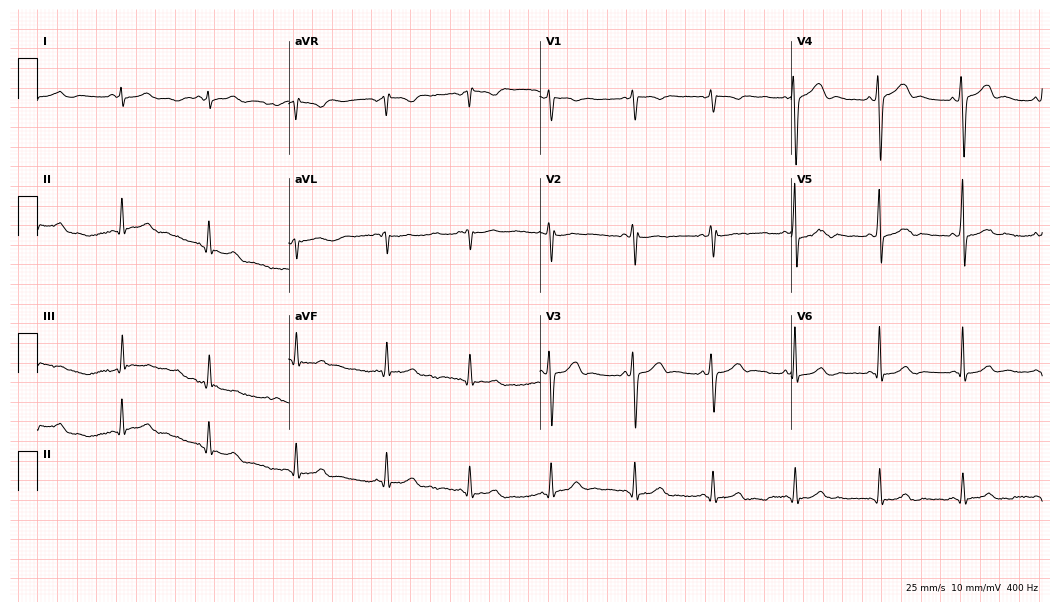
12-lead ECG from a 22-year-old man (10.2-second recording at 400 Hz). Recorded interpretation: within normal limits.